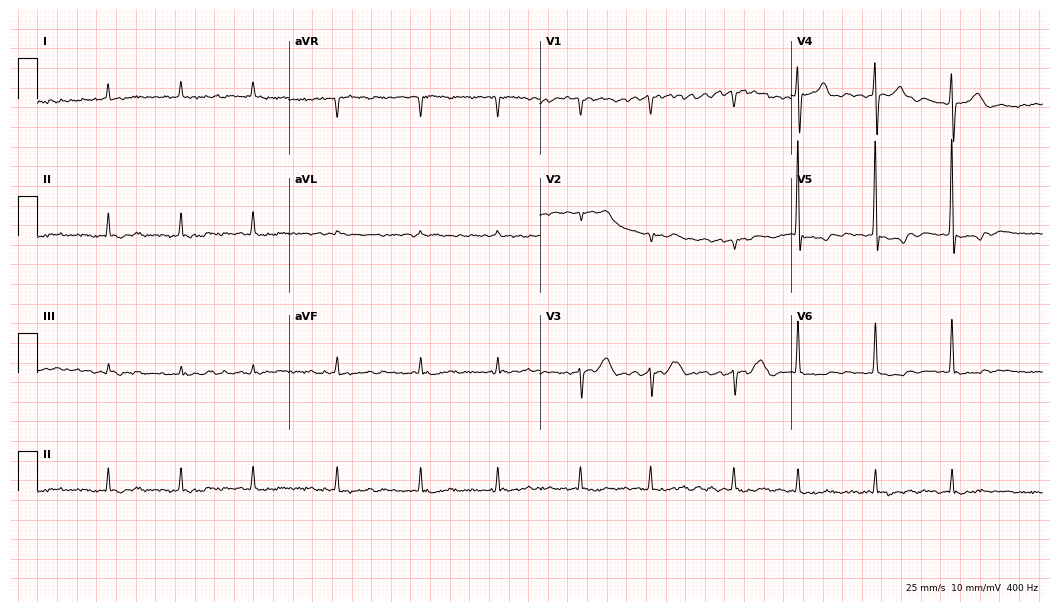
12-lead ECG from a woman, 83 years old. Shows atrial fibrillation (AF).